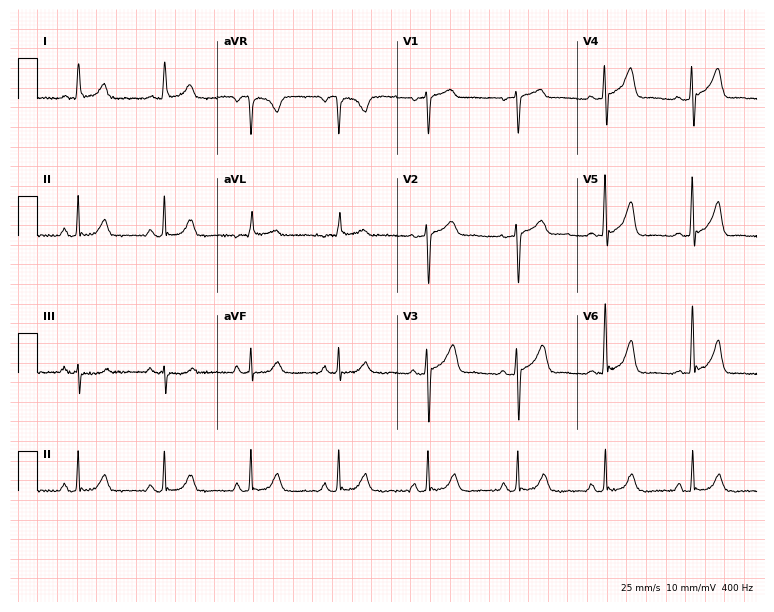
Standard 12-lead ECG recorded from a man, 68 years old. Read as a normal ECG.